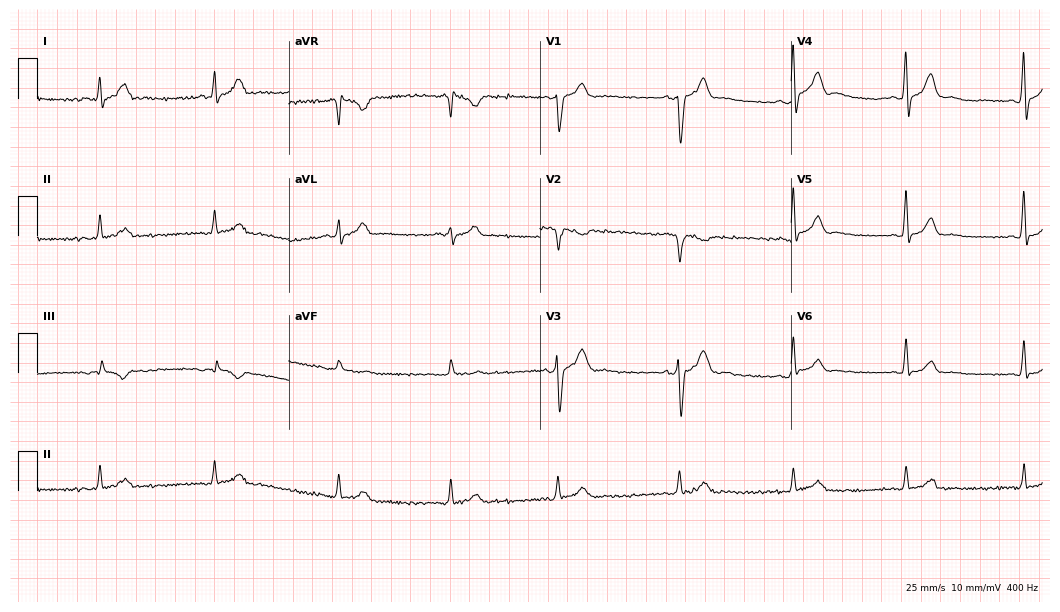
ECG (10.2-second recording at 400 Hz) — a man, 35 years old. Screened for six findings — first-degree AV block, right bundle branch block, left bundle branch block, sinus bradycardia, atrial fibrillation, sinus tachycardia — none is recorded.